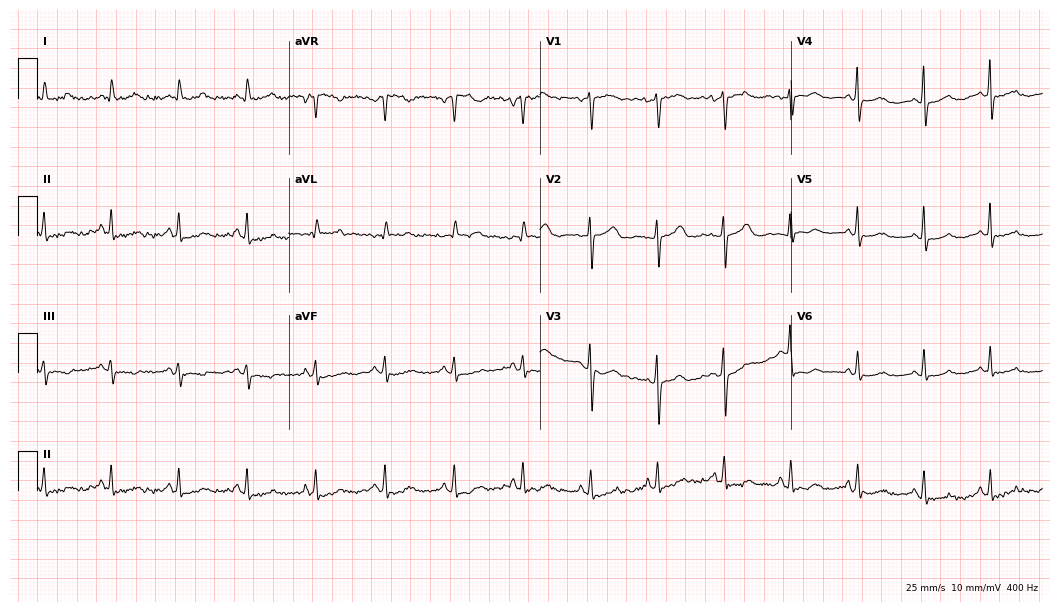
Standard 12-lead ECG recorded from a woman, 59 years old. None of these six findings is recorded: first-degree AV block, right bundle branch block (RBBB), left bundle branch block (LBBB), sinus bradycardia, atrial fibrillation (AF), sinus tachycardia.